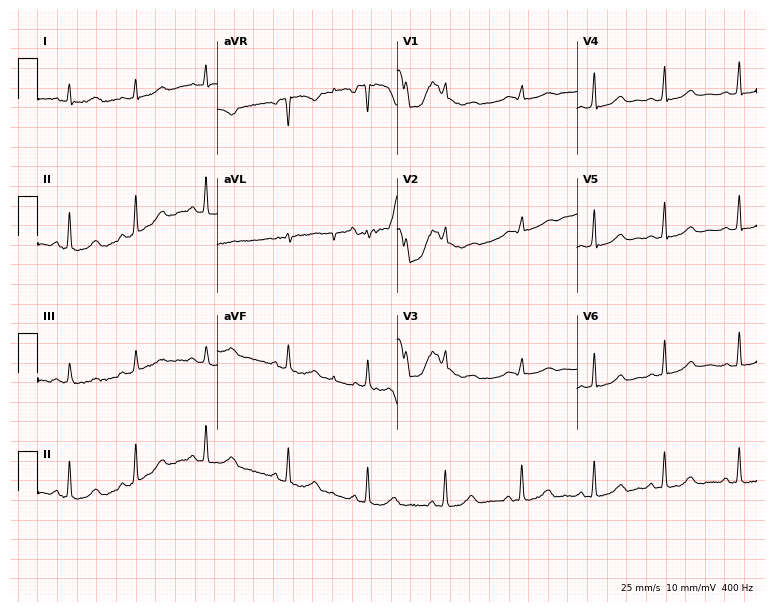
Electrocardiogram, a 36-year-old female patient. Of the six screened findings (first-degree AV block, right bundle branch block (RBBB), left bundle branch block (LBBB), sinus bradycardia, atrial fibrillation (AF), sinus tachycardia), none is recorded. Only these six findings were labelled.